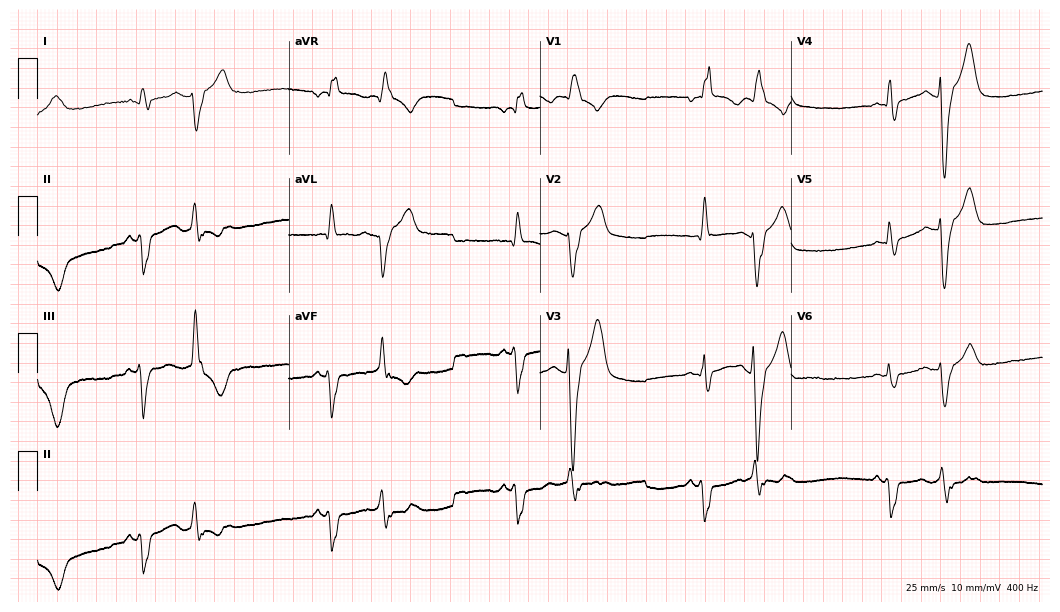
ECG (10.2-second recording at 400 Hz) — a 45-year-old male. Screened for six findings — first-degree AV block, right bundle branch block, left bundle branch block, sinus bradycardia, atrial fibrillation, sinus tachycardia — none is recorded. Only these six findings were labelled.